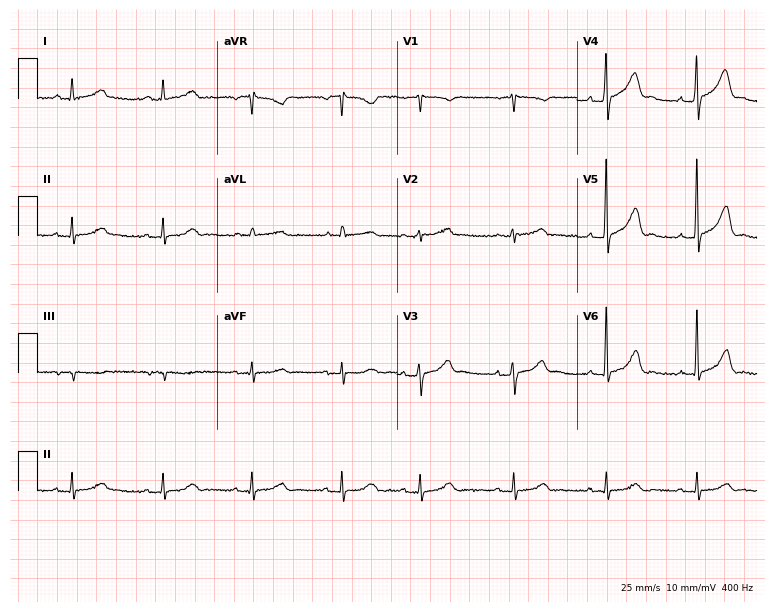
ECG — a 69-year-old woman. Labelled as a normal ECG.